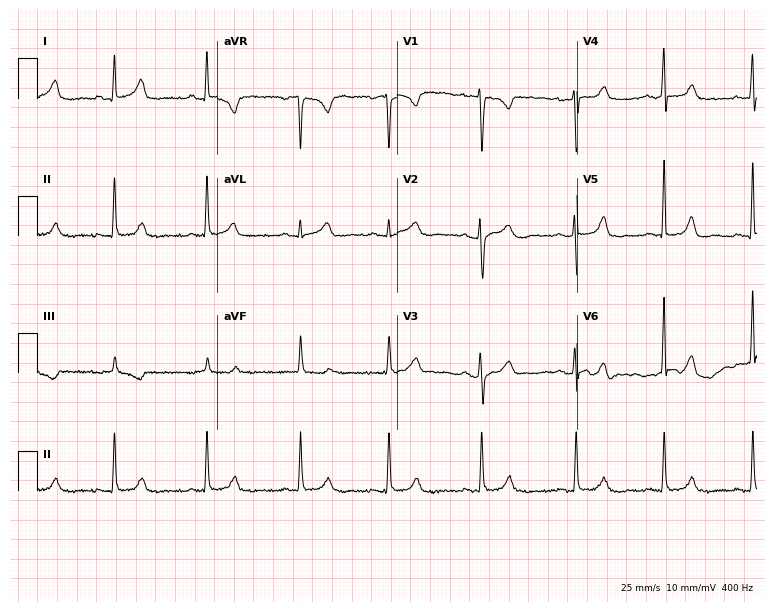
ECG (7.3-second recording at 400 Hz) — a 27-year-old woman. Labelled as a normal ECG.